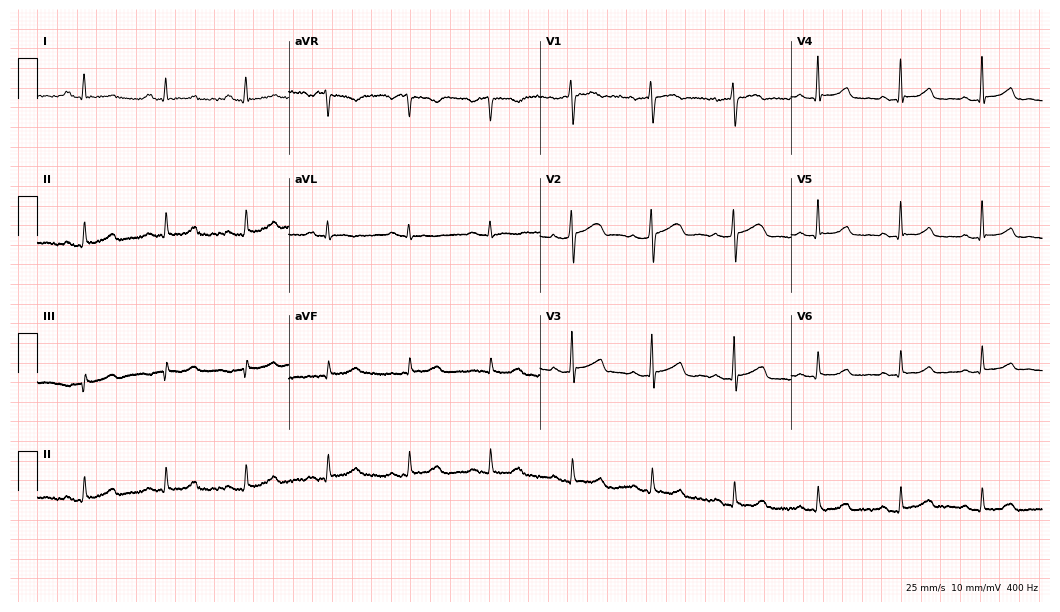
Resting 12-lead electrocardiogram. Patient: a 20-year-old male. Read as a normal ECG.